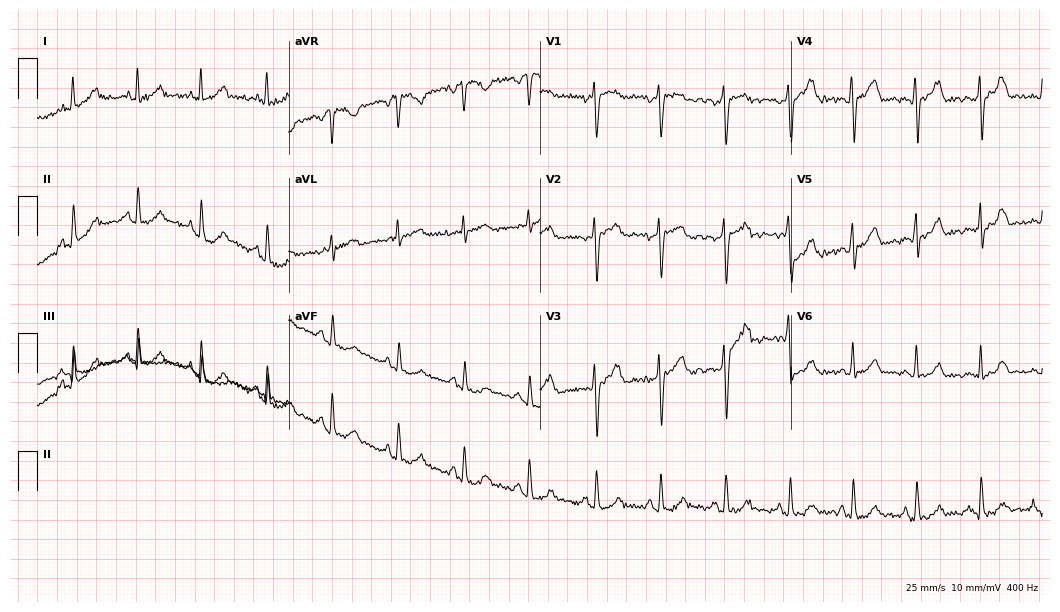
Standard 12-lead ECG recorded from a 27-year-old woman (10.2-second recording at 400 Hz). None of these six findings is recorded: first-degree AV block, right bundle branch block (RBBB), left bundle branch block (LBBB), sinus bradycardia, atrial fibrillation (AF), sinus tachycardia.